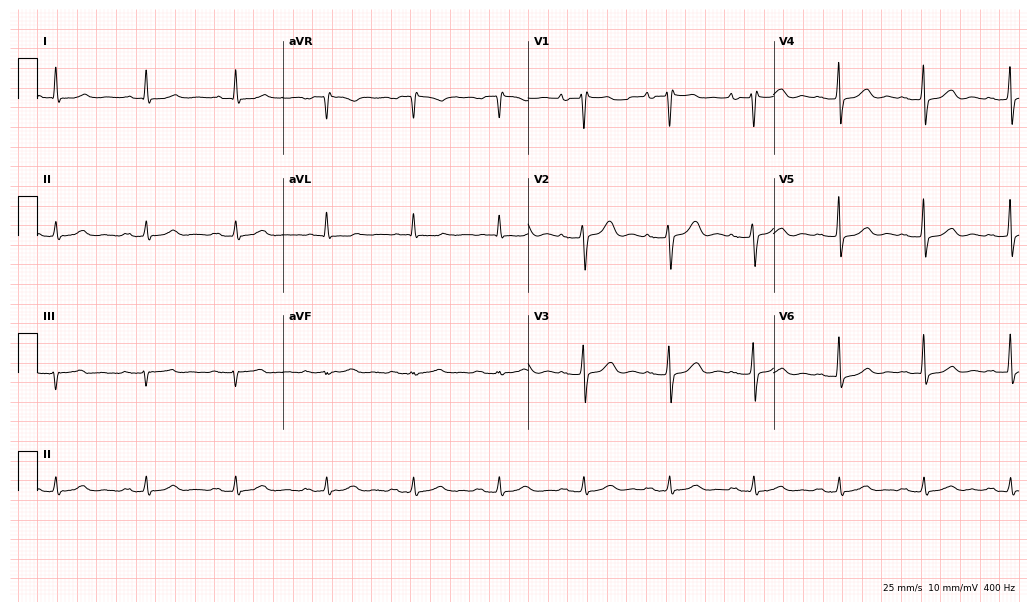
12-lead ECG from a male, 68 years old (10-second recording at 400 Hz). No first-degree AV block, right bundle branch block, left bundle branch block, sinus bradycardia, atrial fibrillation or sinus tachycardia recorded for this tracing. Findings outside these six are not listed.